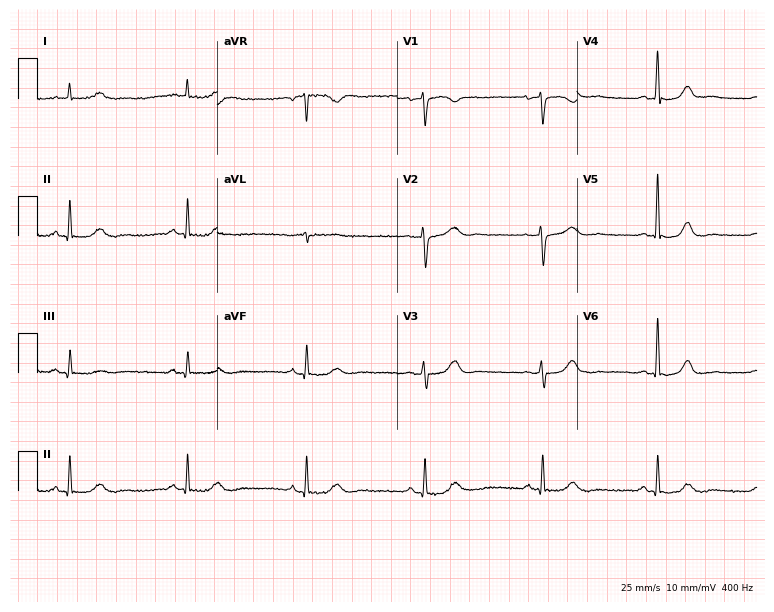
Electrocardiogram (7.3-second recording at 400 Hz), a female patient, 59 years old. Of the six screened findings (first-degree AV block, right bundle branch block, left bundle branch block, sinus bradycardia, atrial fibrillation, sinus tachycardia), none is recorded.